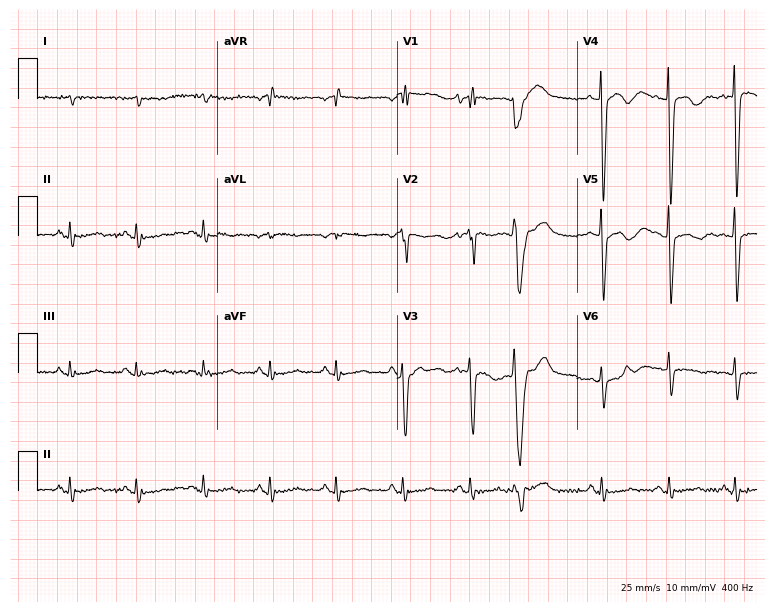
Electrocardiogram, a male, 82 years old. Of the six screened findings (first-degree AV block, right bundle branch block, left bundle branch block, sinus bradycardia, atrial fibrillation, sinus tachycardia), none is recorded. Other findings, if any, are not listed.